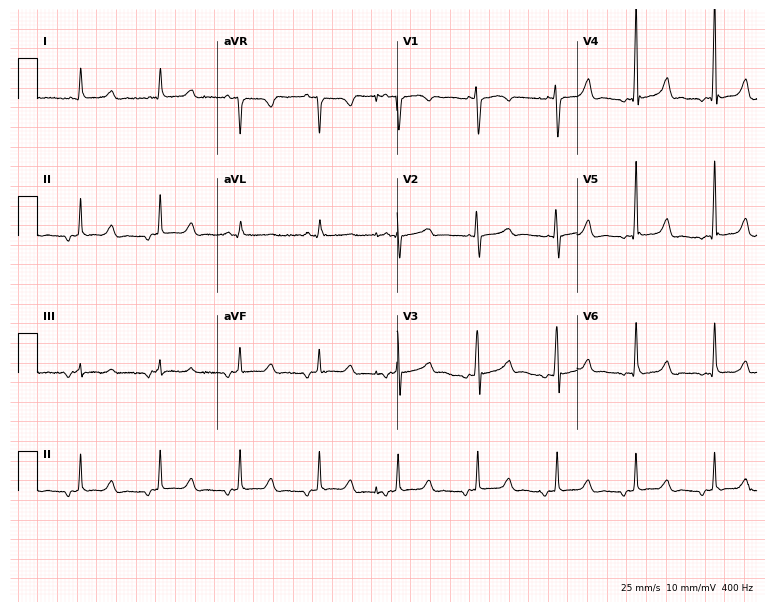
12-lead ECG (7.3-second recording at 400 Hz) from a 48-year-old woman. Screened for six findings — first-degree AV block, right bundle branch block, left bundle branch block, sinus bradycardia, atrial fibrillation, sinus tachycardia — none is recorded.